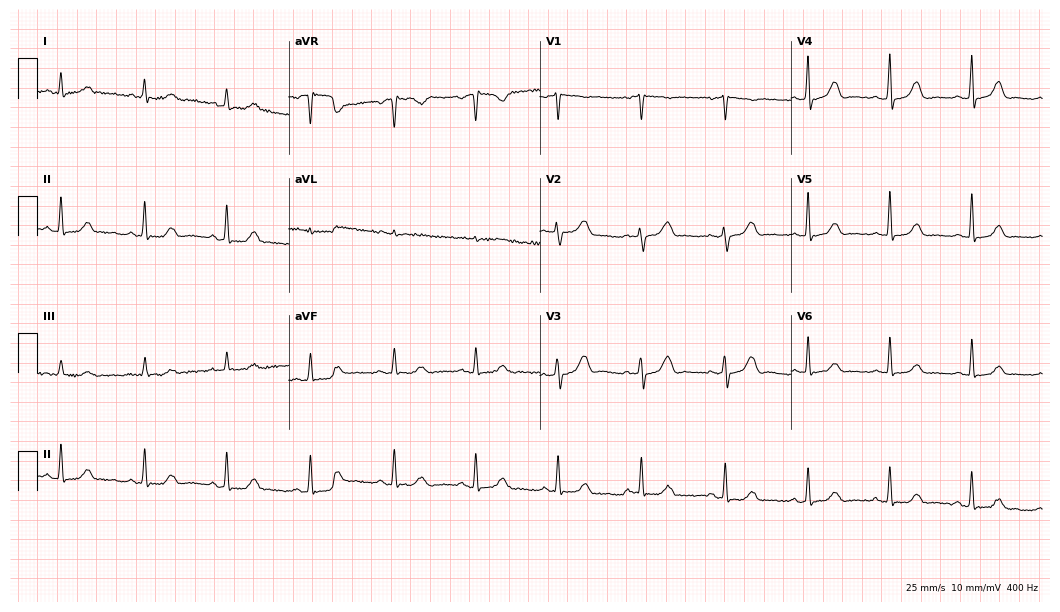
12-lead ECG from a woman, 54 years old. Labelled as a normal ECG.